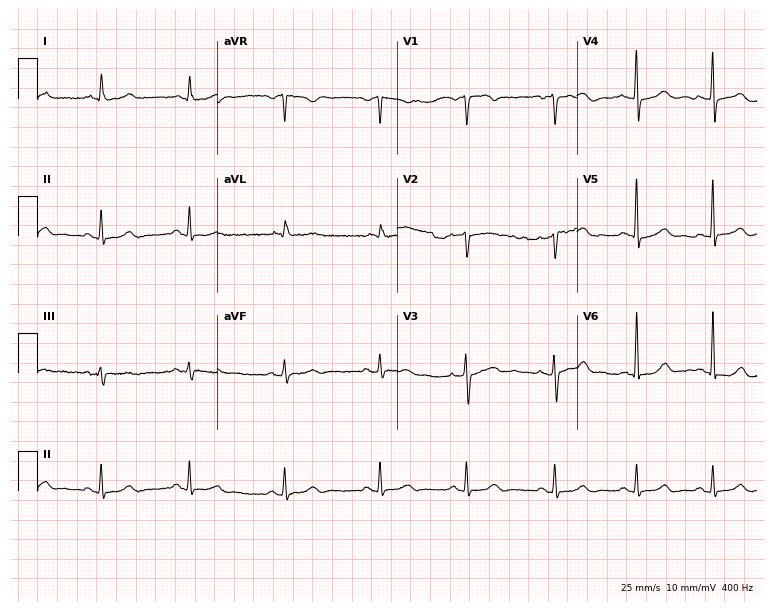
Electrocardiogram (7.3-second recording at 400 Hz), a woman, 53 years old. Overall reading on record: normal ECG.